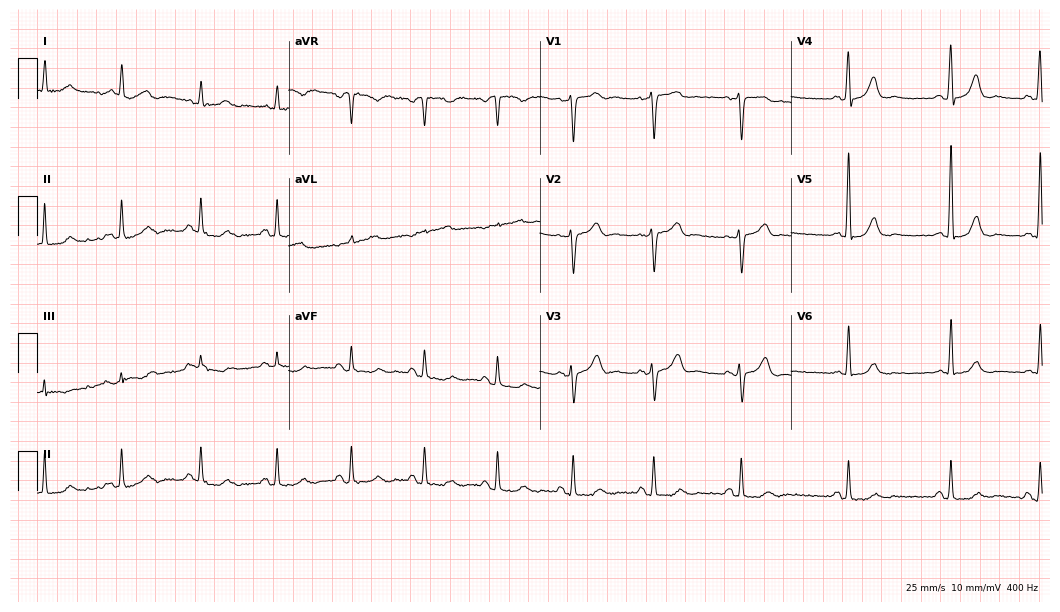
Resting 12-lead electrocardiogram (10.2-second recording at 400 Hz). Patient: a 71-year-old man. Read as a normal ECG.